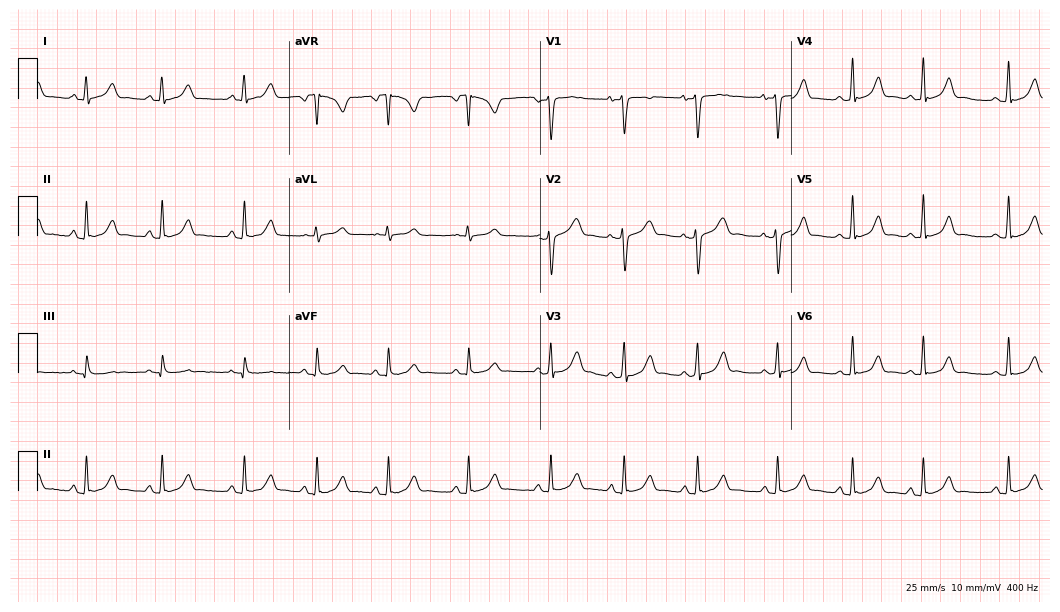
Standard 12-lead ECG recorded from a 24-year-old woman. Read as a normal ECG.